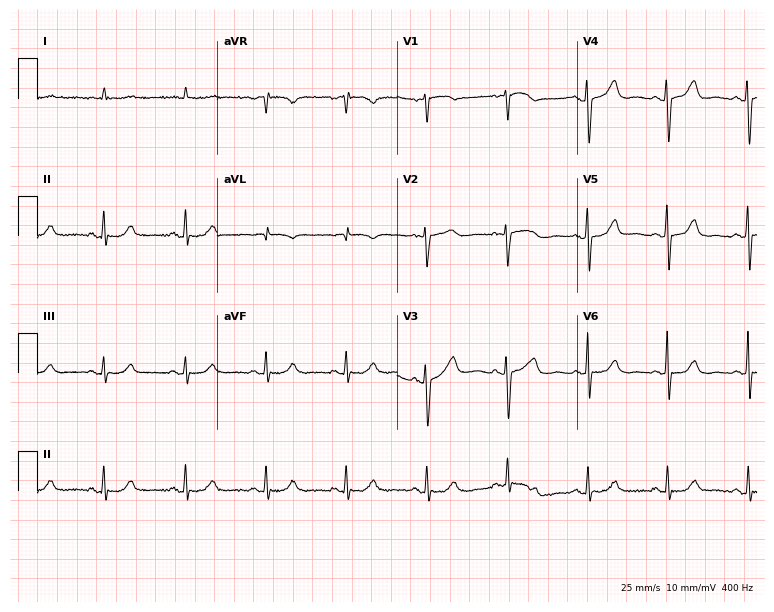
12-lead ECG from a female patient, 67 years old (7.3-second recording at 400 Hz). No first-degree AV block, right bundle branch block, left bundle branch block, sinus bradycardia, atrial fibrillation or sinus tachycardia recorded for this tracing.